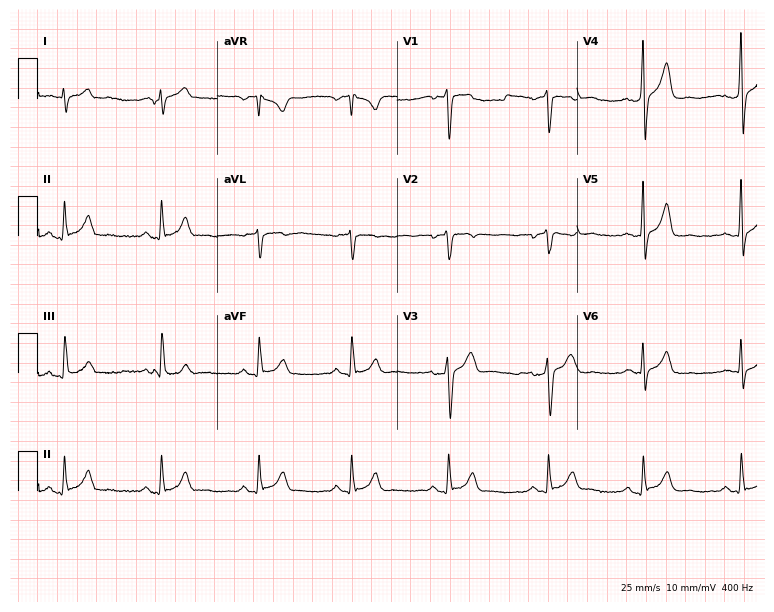
Standard 12-lead ECG recorded from a male patient, 42 years old (7.3-second recording at 400 Hz). None of these six findings is recorded: first-degree AV block, right bundle branch block (RBBB), left bundle branch block (LBBB), sinus bradycardia, atrial fibrillation (AF), sinus tachycardia.